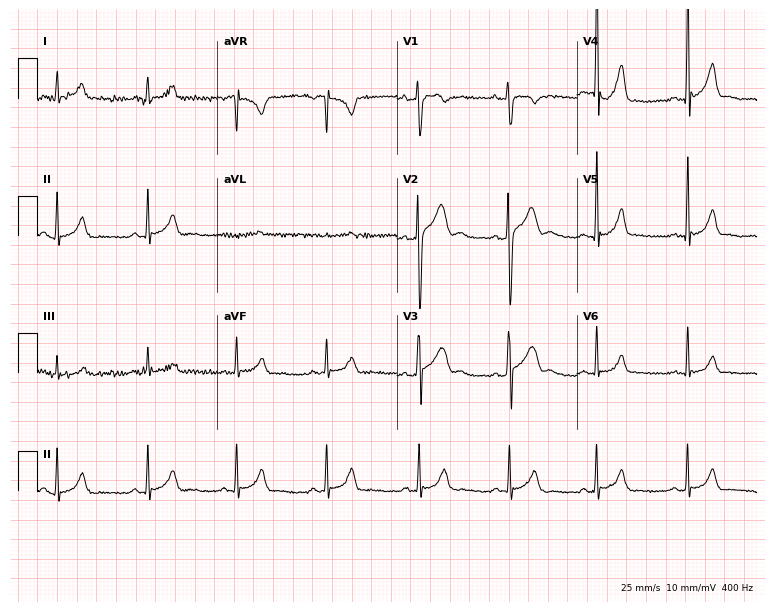
12-lead ECG (7.3-second recording at 400 Hz) from an 18-year-old male. Screened for six findings — first-degree AV block, right bundle branch block, left bundle branch block, sinus bradycardia, atrial fibrillation, sinus tachycardia — none is recorded.